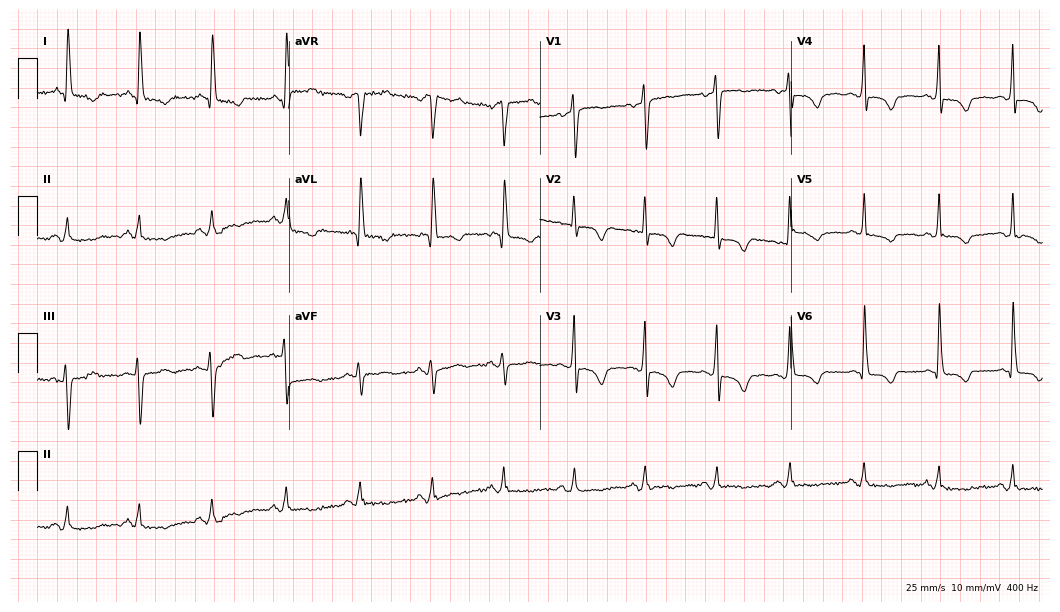
Standard 12-lead ECG recorded from a 74-year-old female patient (10.2-second recording at 400 Hz). None of these six findings is recorded: first-degree AV block, right bundle branch block, left bundle branch block, sinus bradycardia, atrial fibrillation, sinus tachycardia. Other findings, if any, are not listed.